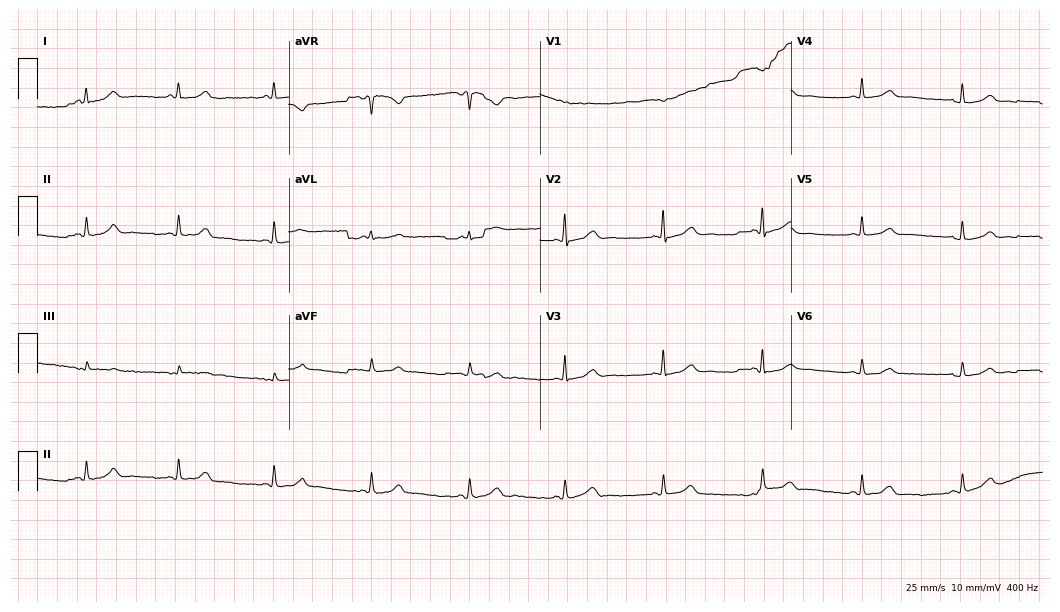
Standard 12-lead ECG recorded from a female patient, 50 years old. None of these six findings is recorded: first-degree AV block, right bundle branch block, left bundle branch block, sinus bradycardia, atrial fibrillation, sinus tachycardia.